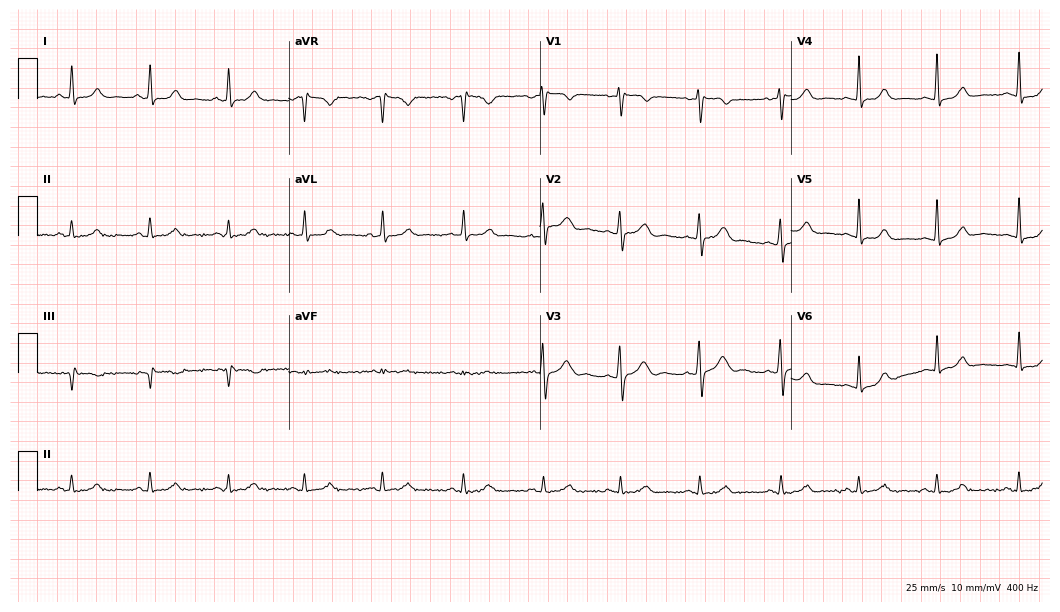
Electrocardiogram, a 31-year-old female patient. Overall reading on record: normal ECG.